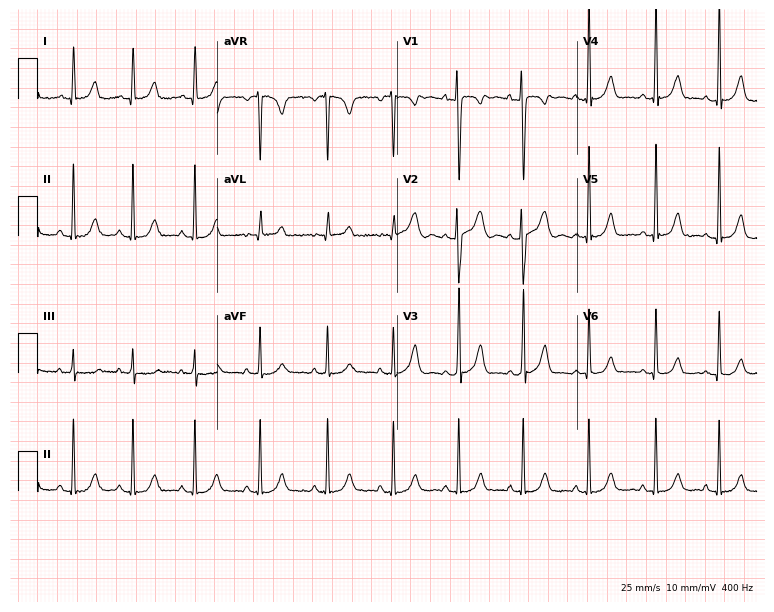
ECG — a 25-year-old woman. Screened for six findings — first-degree AV block, right bundle branch block, left bundle branch block, sinus bradycardia, atrial fibrillation, sinus tachycardia — none is recorded.